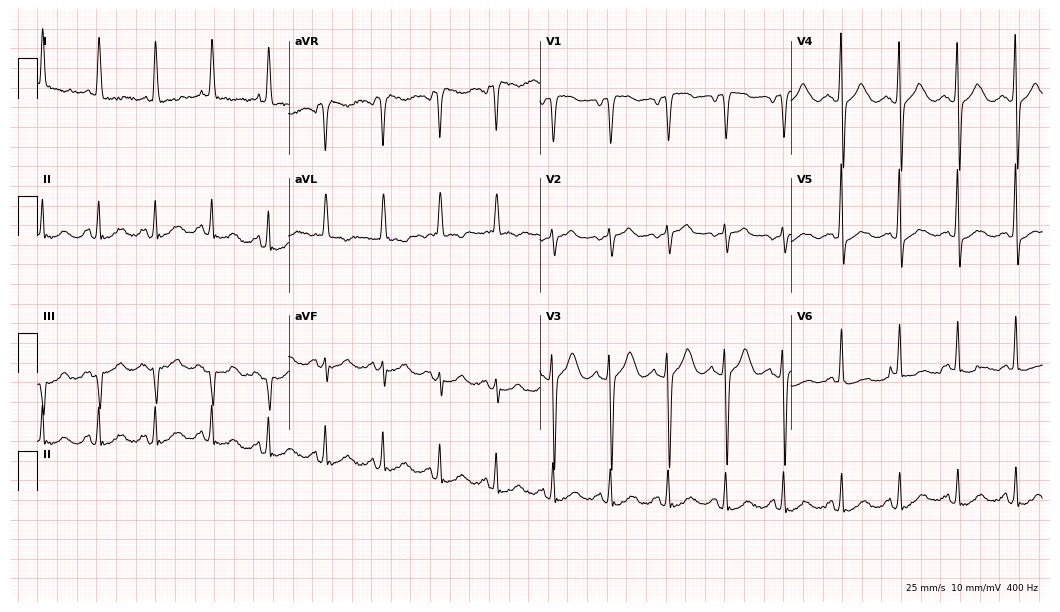
ECG — a 76-year-old female patient. Screened for six findings — first-degree AV block, right bundle branch block, left bundle branch block, sinus bradycardia, atrial fibrillation, sinus tachycardia — none is recorded.